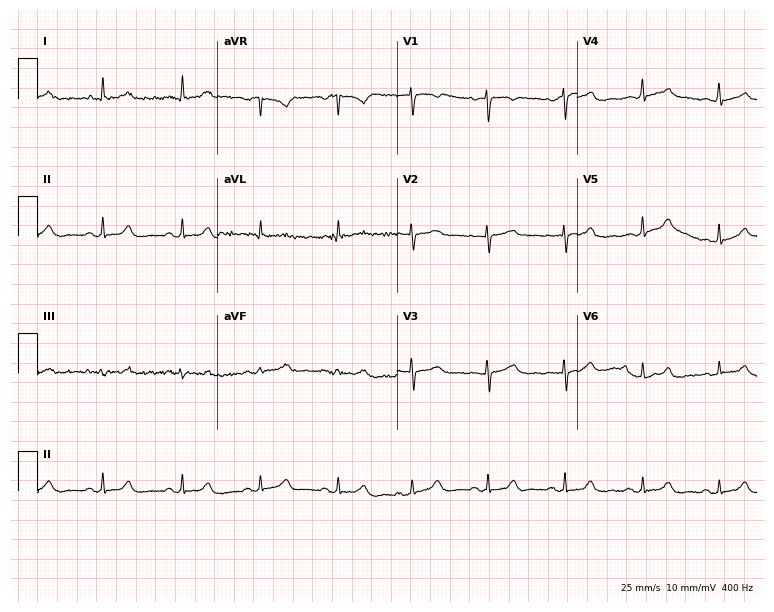
Standard 12-lead ECG recorded from a 45-year-old female patient. Read as a normal ECG.